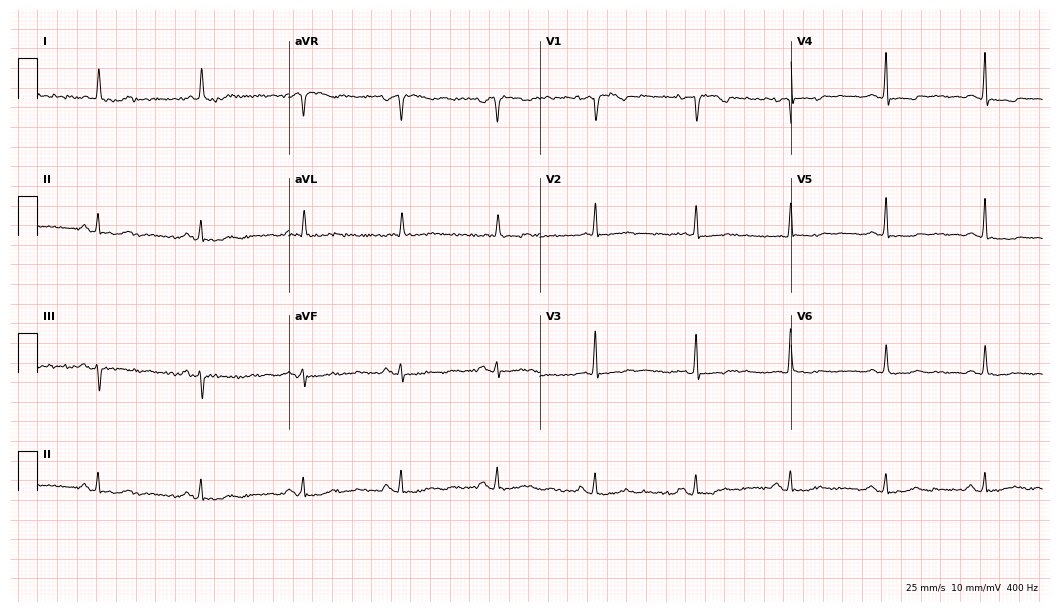
Resting 12-lead electrocardiogram. Patient: a woman, 75 years old. None of these six findings is recorded: first-degree AV block, right bundle branch block, left bundle branch block, sinus bradycardia, atrial fibrillation, sinus tachycardia.